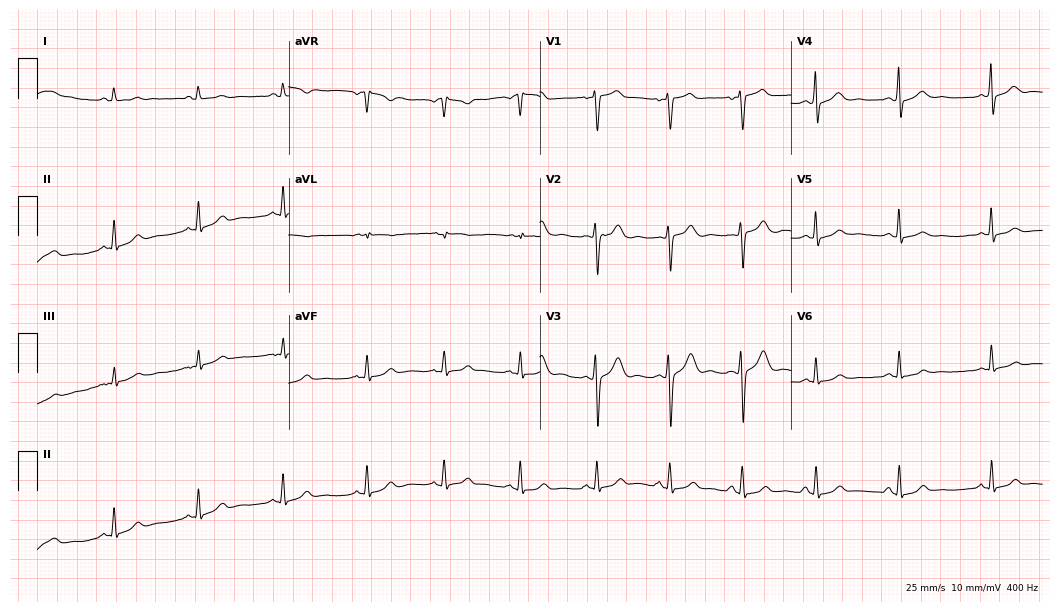
12-lead ECG (10.2-second recording at 400 Hz) from a female, 40 years old. Labelled as a normal ECG.